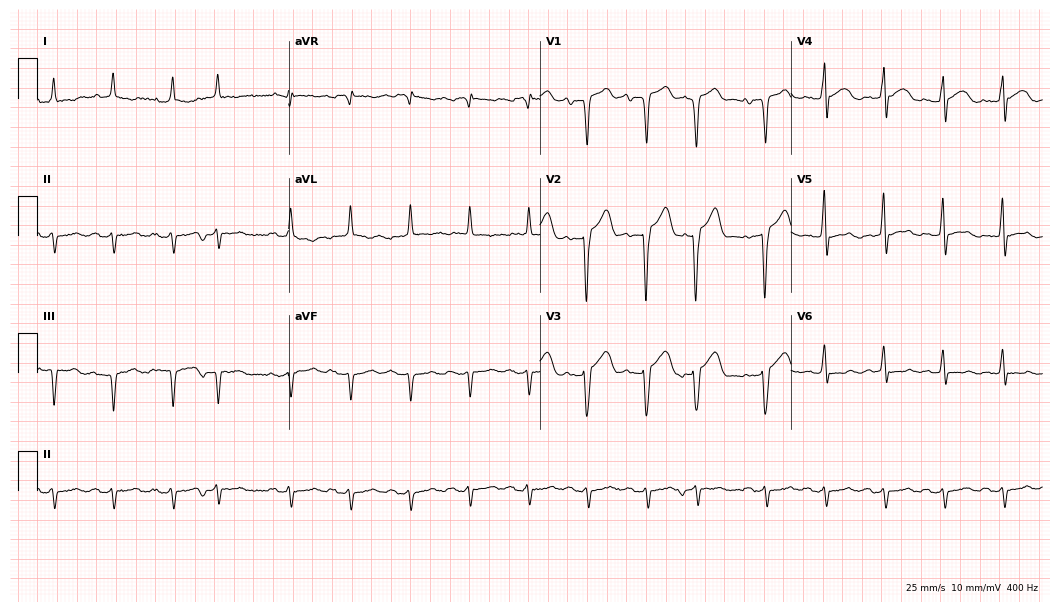
12-lead ECG (10.2-second recording at 400 Hz) from an 81-year-old male patient. Screened for six findings — first-degree AV block, right bundle branch block, left bundle branch block, sinus bradycardia, atrial fibrillation, sinus tachycardia — none is recorded.